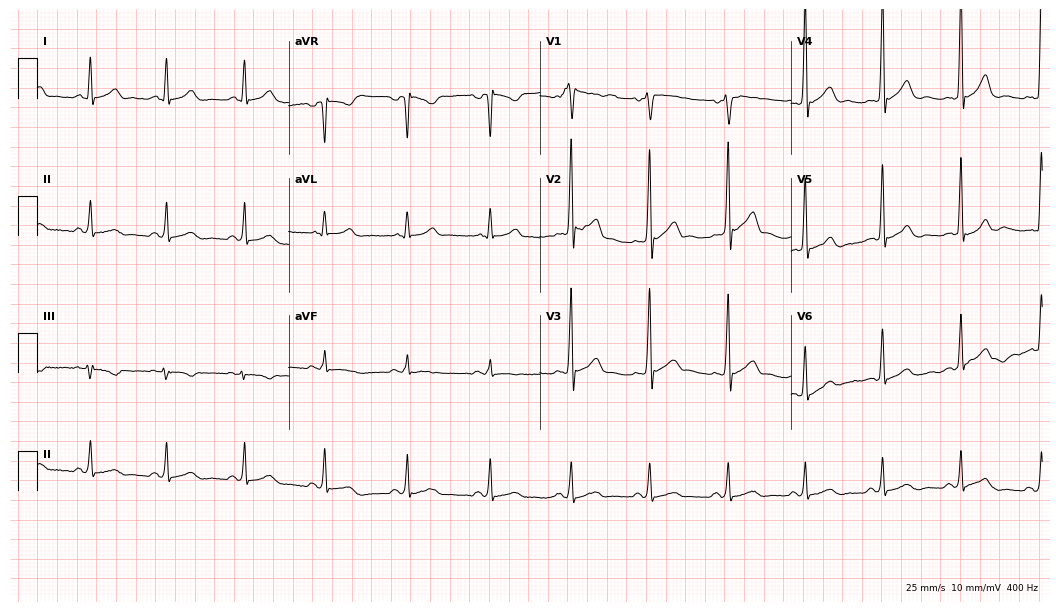
ECG (10.2-second recording at 400 Hz) — a 50-year-old male patient. Labelled as a normal ECG.